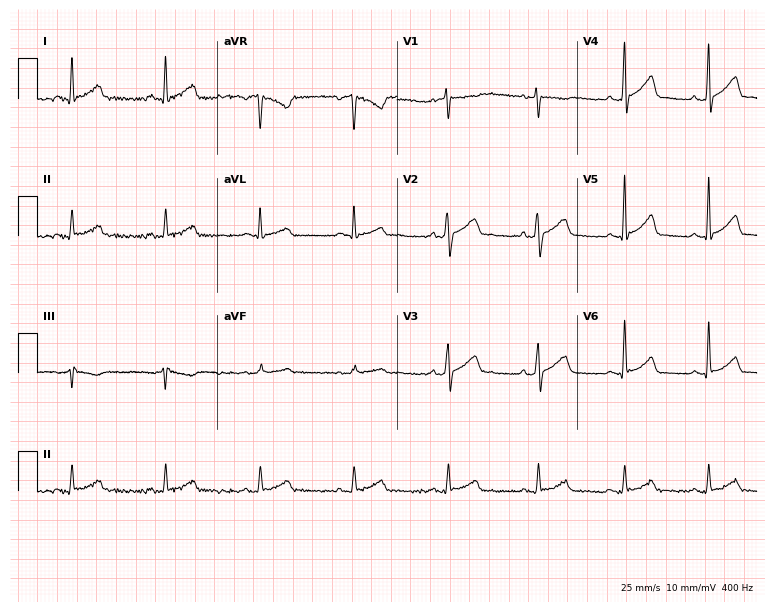
12-lead ECG (7.3-second recording at 400 Hz) from a male patient, 41 years old. Labelled as a normal ECG.